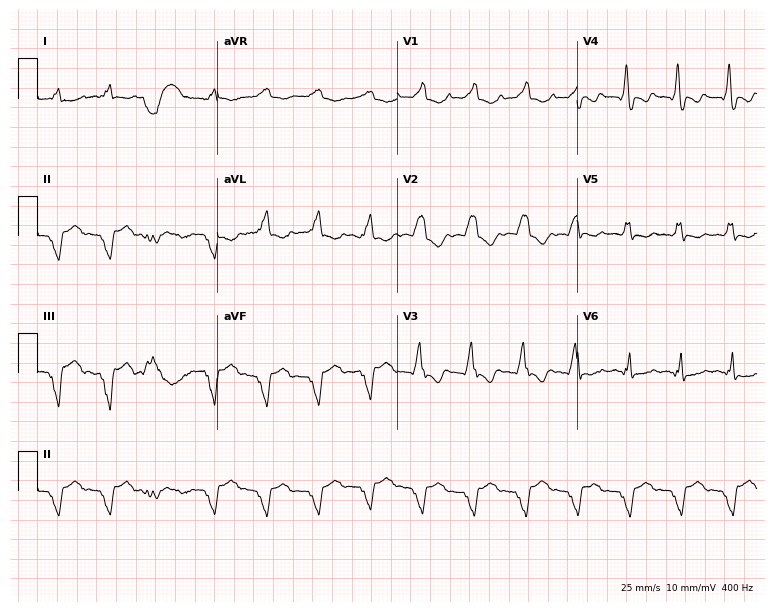
Standard 12-lead ECG recorded from a 46-year-old female (7.3-second recording at 400 Hz). The tracing shows right bundle branch block (RBBB), atrial fibrillation (AF), sinus tachycardia (a sinus rate of 100 beats per minute or more).